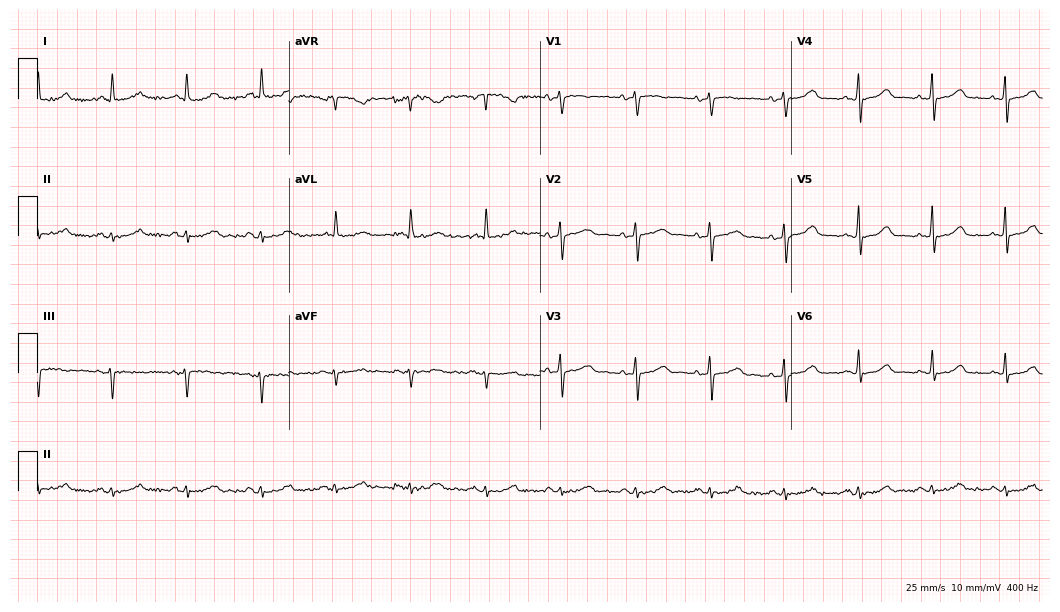
12-lead ECG (10.2-second recording at 400 Hz) from a 74-year-old female patient. Labelled as a normal ECG.